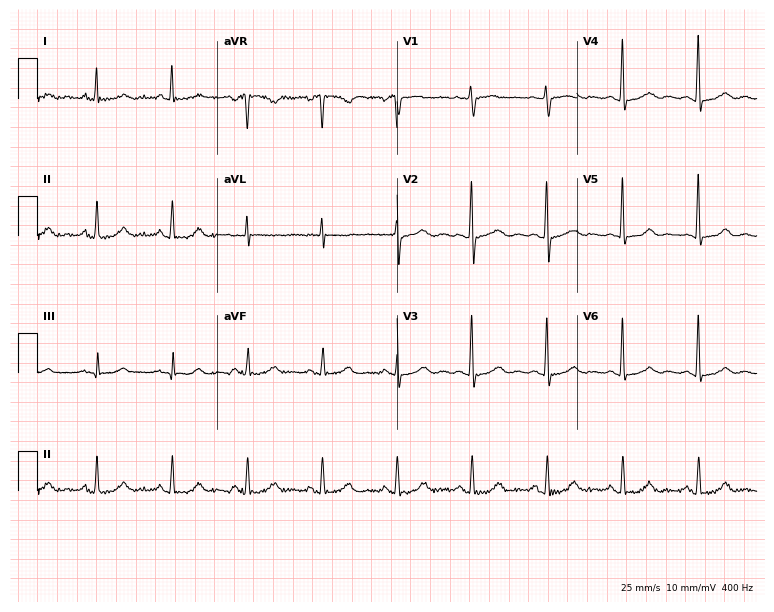
Electrocardiogram, a female, 60 years old. Overall reading on record: normal ECG.